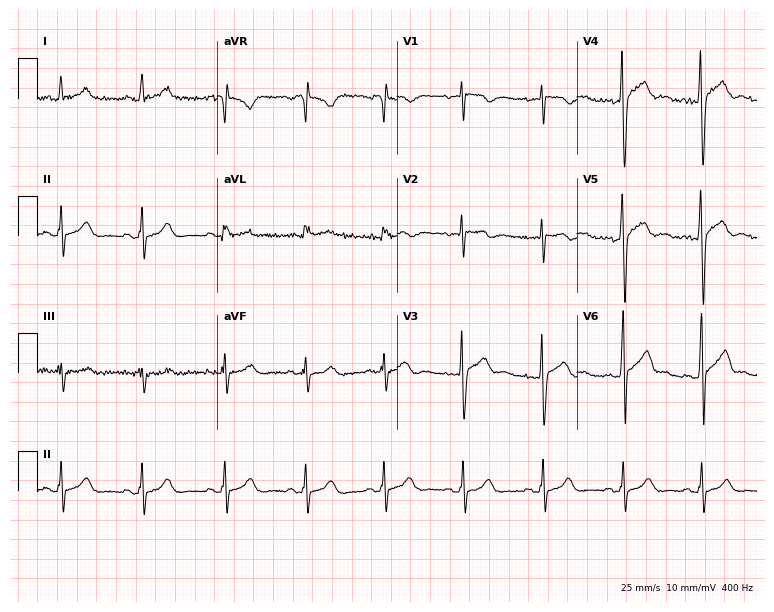
12-lead ECG (7.3-second recording at 400 Hz) from a male, 26 years old. Screened for six findings — first-degree AV block, right bundle branch block, left bundle branch block, sinus bradycardia, atrial fibrillation, sinus tachycardia — none is recorded. Only these six findings were labelled.